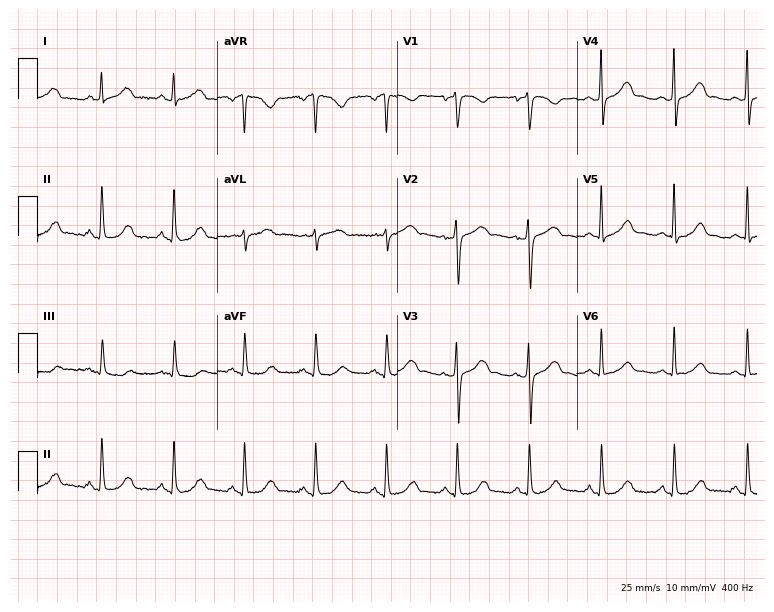
12-lead ECG from a female patient, 52 years old (7.3-second recording at 400 Hz). Recorded interpretation: within normal limits.